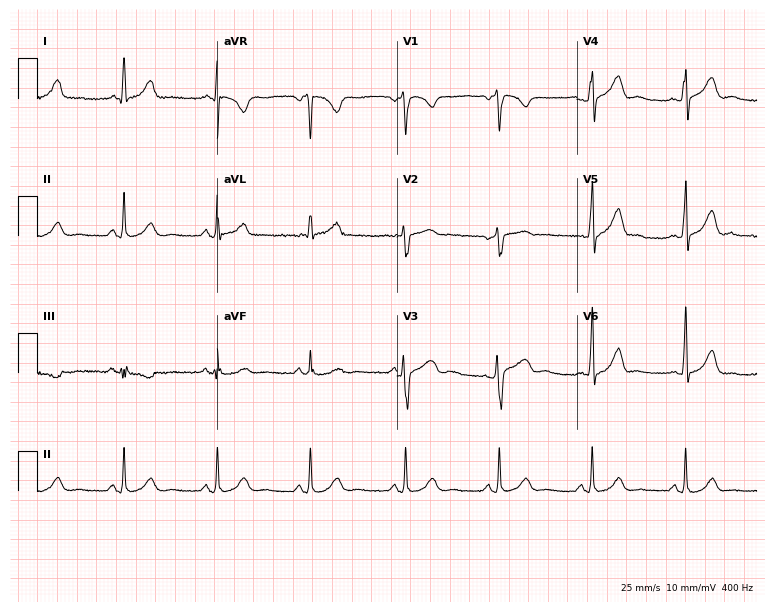
Electrocardiogram, a 47-year-old female. Overall reading on record: normal ECG.